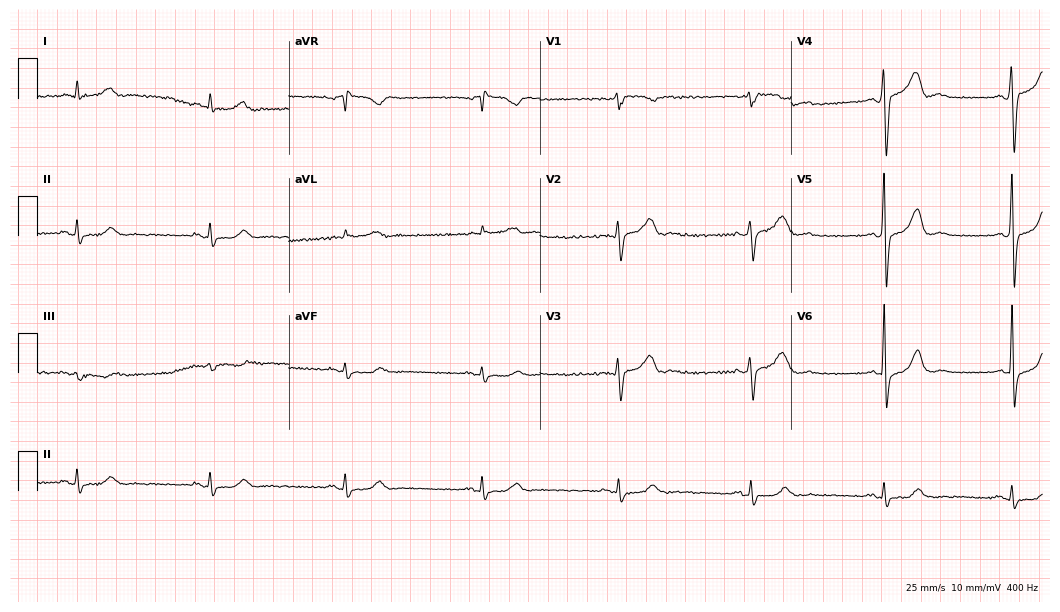
Resting 12-lead electrocardiogram (10.2-second recording at 400 Hz). Patient: a 52-year-old male. The tracing shows sinus bradycardia (a sinus rate of 50 beats per minute or less).